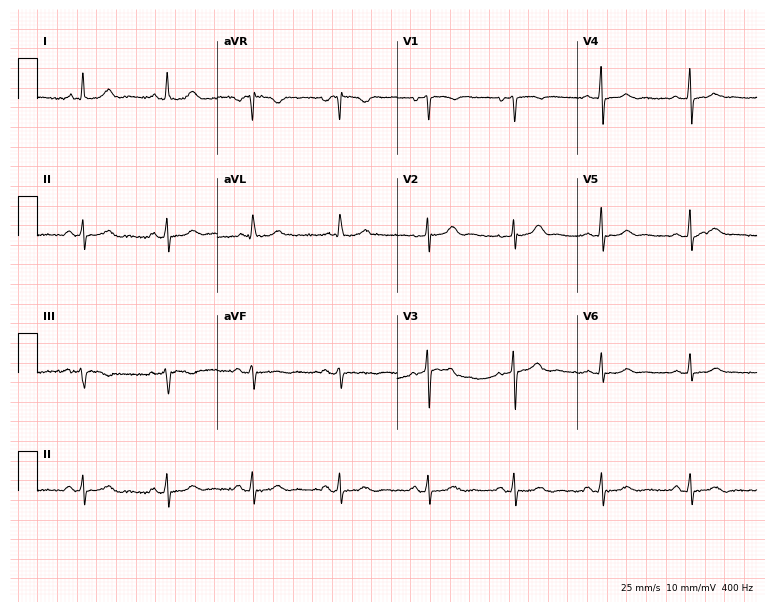
Electrocardiogram, a woman, 62 years old. Overall reading on record: normal ECG.